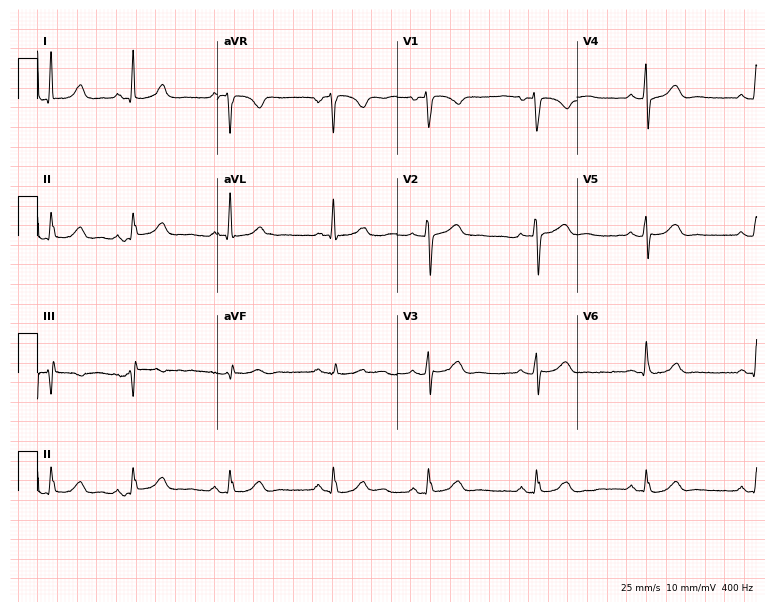
Resting 12-lead electrocardiogram (7.3-second recording at 400 Hz). Patient: a 40-year-old female. None of these six findings is recorded: first-degree AV block, right bundle branch block, left bundle branch block, sinus bradycardia, atrial fibrillation, sinus tachycardia.